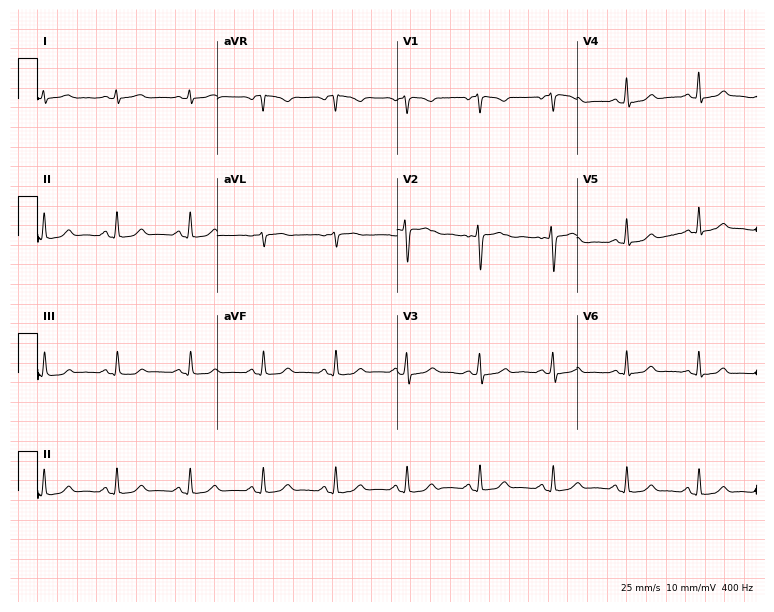
12-lead ECG from a 36-year-old female (7.3-second recording at 400 Hz). No first-degree AV block, right bundle branch block, left bundle branch block, sinus bradycardia, atrial fibrillation or sinus tachycardia recorded for this tracing.